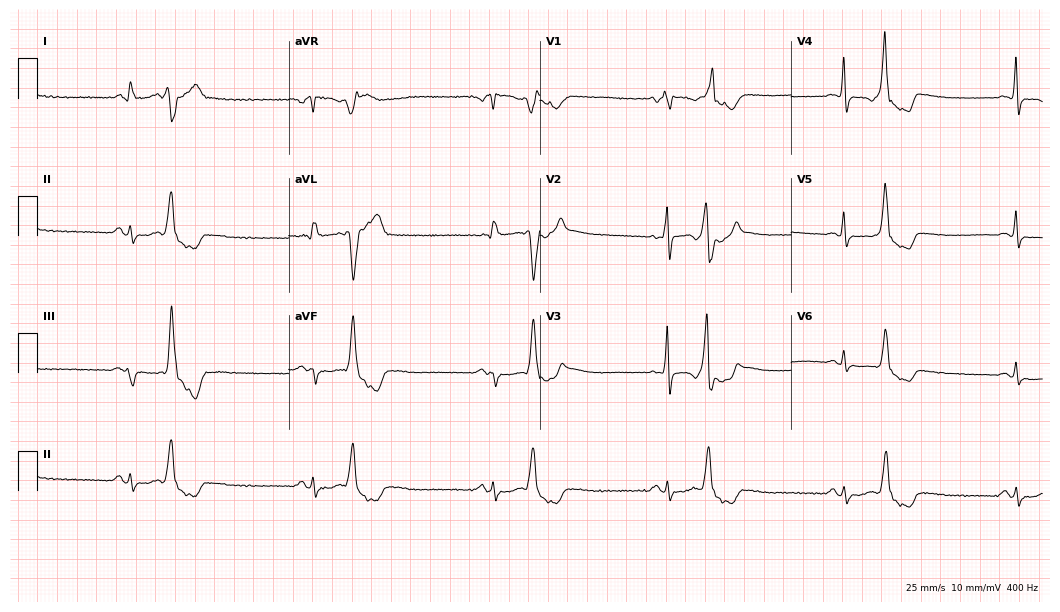
Standard 12-lead ECG recorded from a woman, 60 years old. None of these six findings is recorded: first-degree AV block, right bundle branch block (RBBB), left bundle branch block (LBBB), sinus bradycardia, atrial fibrillation (AF), sinus tachycardia. Only these six findings were labelled.